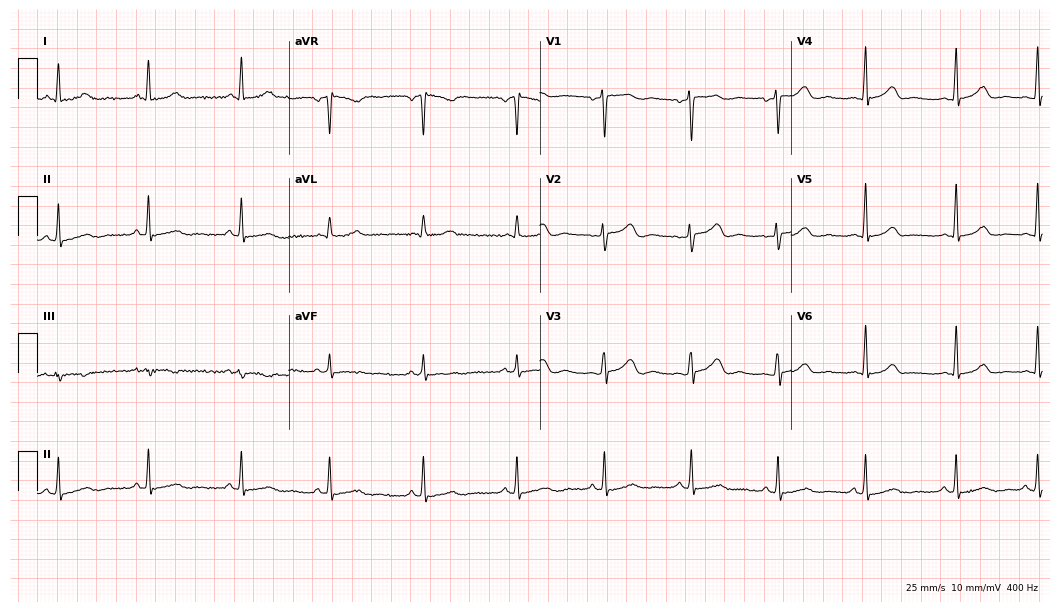
12-lead ECG from a female, 49 years old (10.2-second recording at 400 Hz). Recorded interpretation: within normal limits.